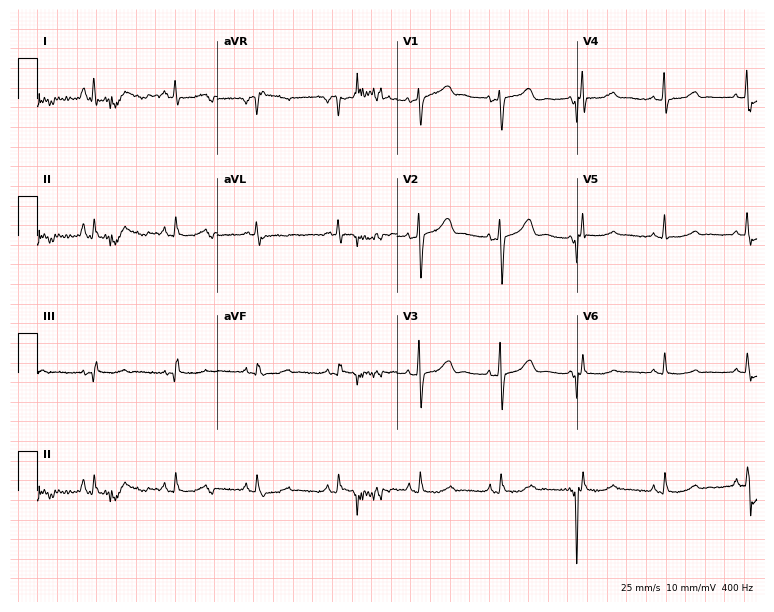
Electrocardiogram (7.3-second recording at 400 Hz), a 65-year-old female patient. Of the six screened findings (first-degree AV block, right bundle branch block, left bundle branch block, sinus bradycardia, atrial fibrillation, sinus tachycardia), none is recorded. Other findings, if any, are not listed.